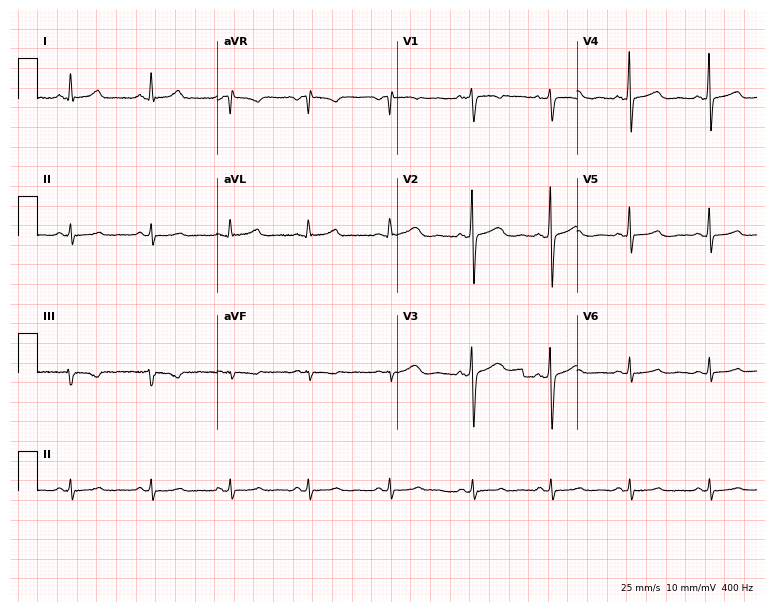
Standard 12-lead ECG recorded from a woman, 44 years old (7.3-second recording at 400 Hz). Read as a normal ECG.